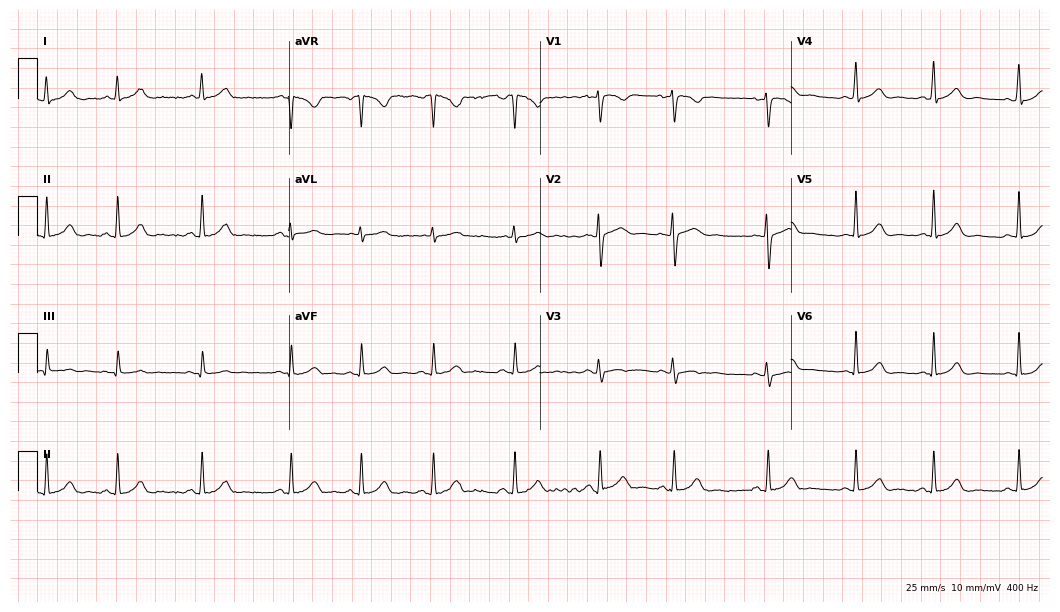
Electrocardiogram, a 22-year-old woman. Of the six screened findings (first-degree AV block, right bundle branch block, left bundle branch block, sinus bradycardia, atrial fibrillation, sinus tachycardia), none is recorded.